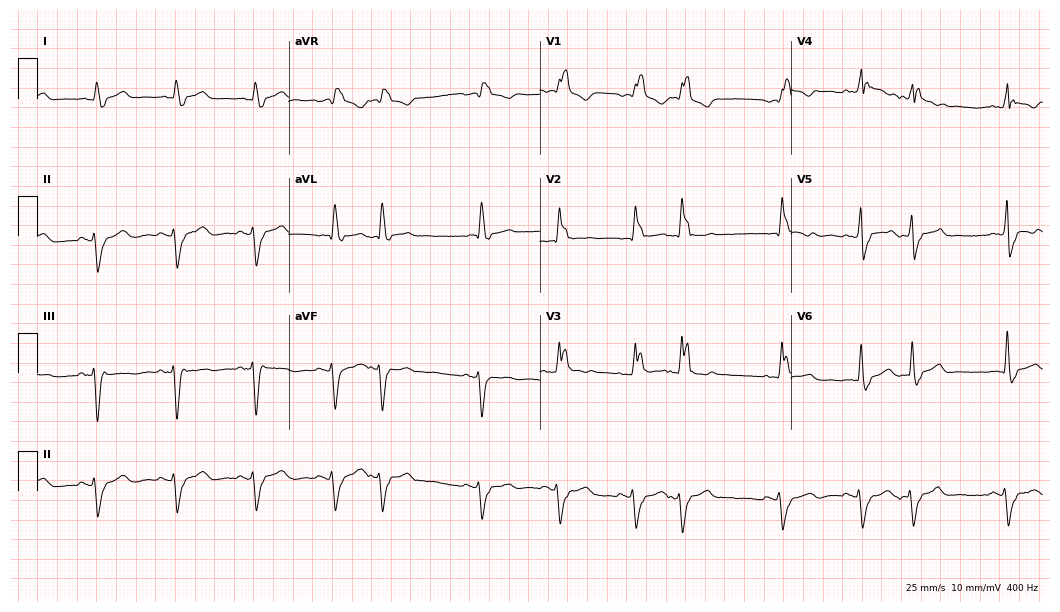
Electrocardiogram, a male, 60 years old. Interpretation includes right bundle branch block.